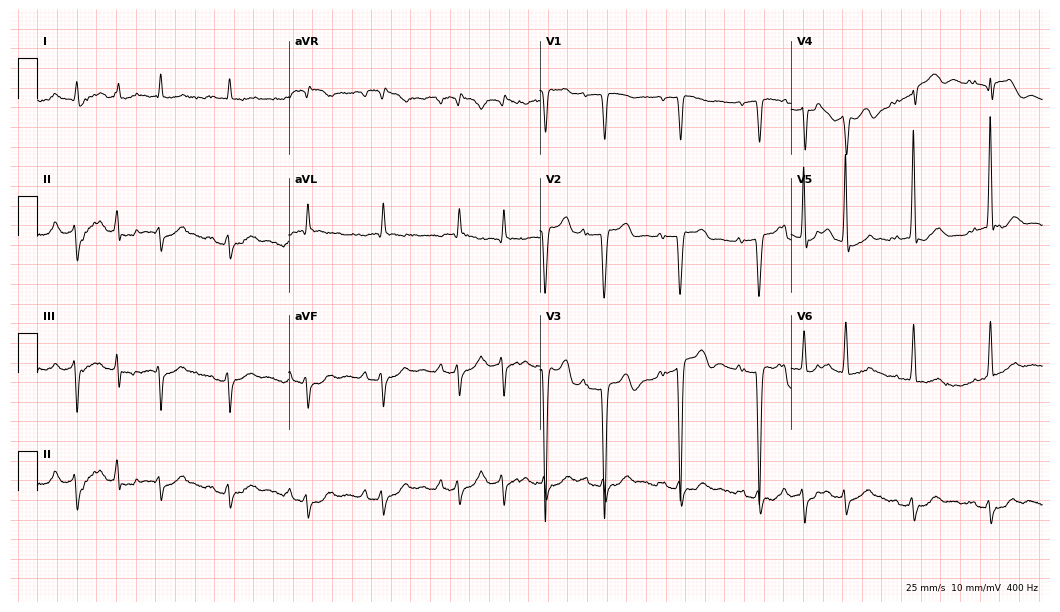
Standard 12-lead ECG recorded from a male, 84 years old. None of these six findings is recorded: first-degree AV block, right bundle branch block, left bundle branch block, sinus bradycardia, atrial fibrillation, sinus tachycardia. Other findings, if any, are not listed.